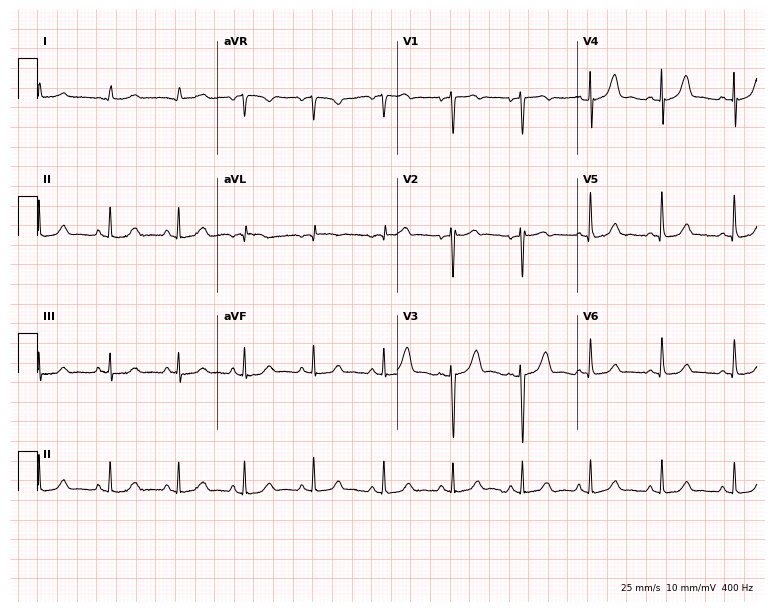
Electrocardiogram, a female patient, 70 years old. Overall reading on record: normal ECG.